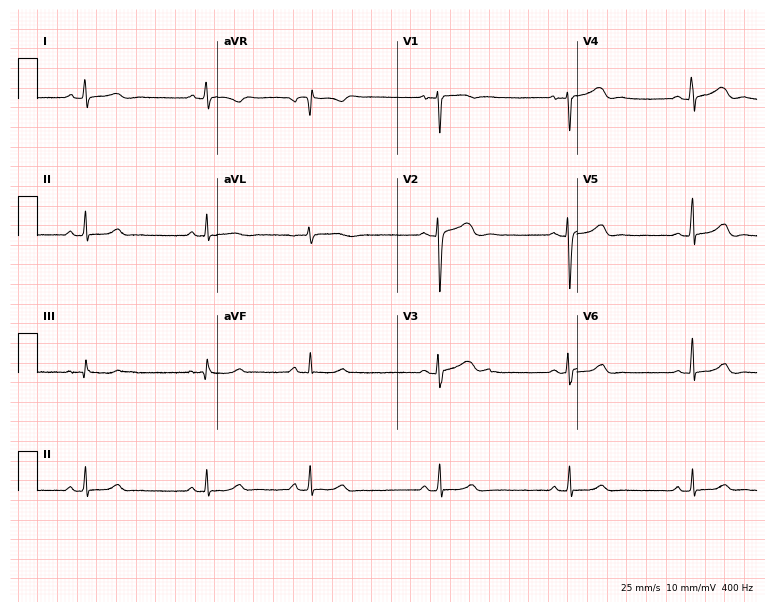
ECG — a female, 19 years old. Findings include sinus bradycardia (a sinus rate of 50 beats per minute or less).